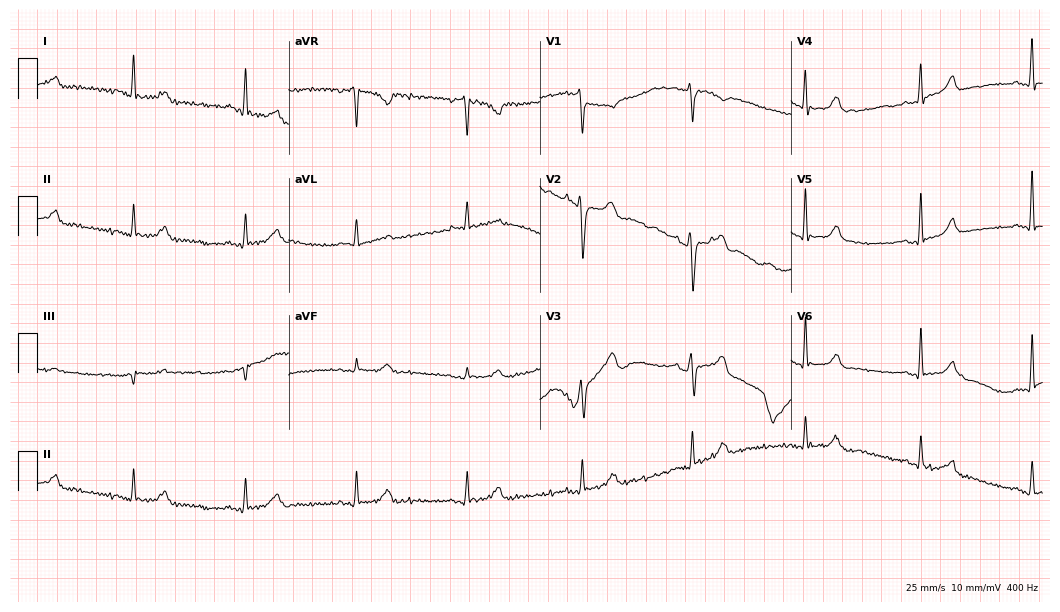
12-lead ECG (10.2-second recording at 400 Hz) from a male, 62 years old. Screened for six findings — first-degree AV block, right bundle branch block, left bundle branch block, sinus bradycardia, atrial fibrillation, sinus tachycardia — none is recorded. Other findings, if any, are not listed.